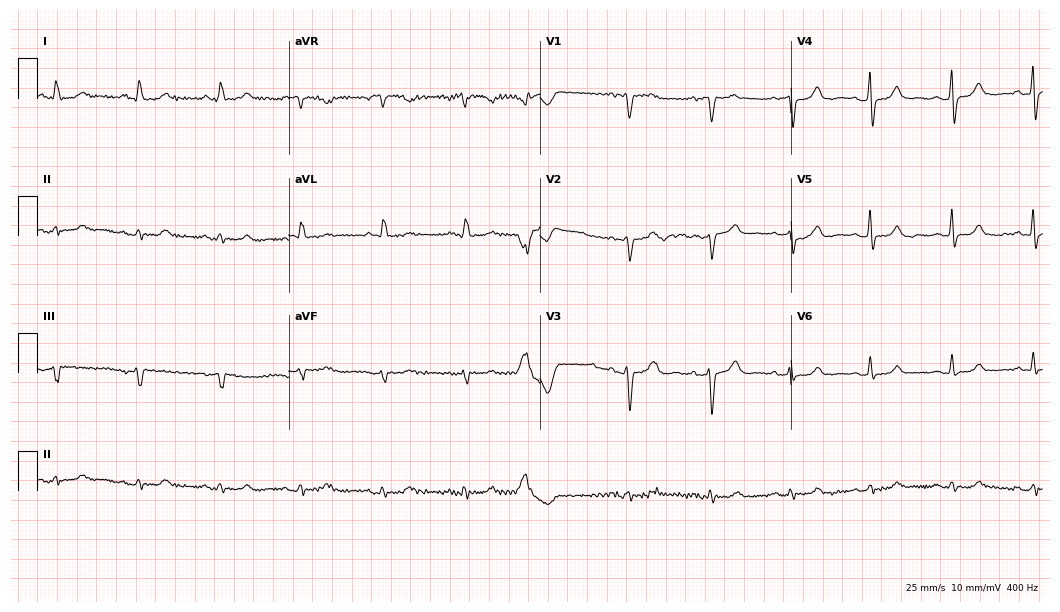
ECG — a female patient, 72 years old. Screened for six findings — first-degree AV block, right bundle branch block (RBBB), left bundle branch block (LBBB), sinus bradycardia, atrial fibrillation (AF), sinus tachycardia — none is recorded. Findings outside these six are not listed.